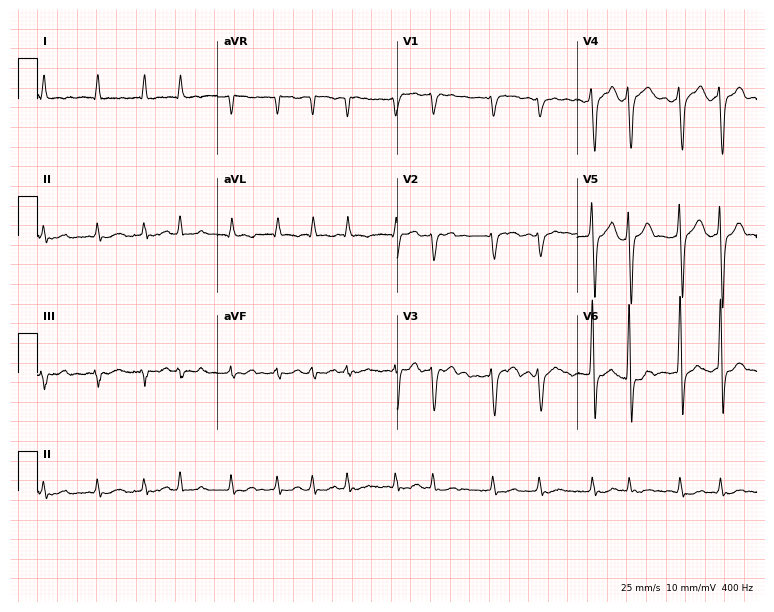
12-lead ECG (7.3-second recording at 400 Hz) from a male patient, 83 years old. Findings include atrial fibrillation.